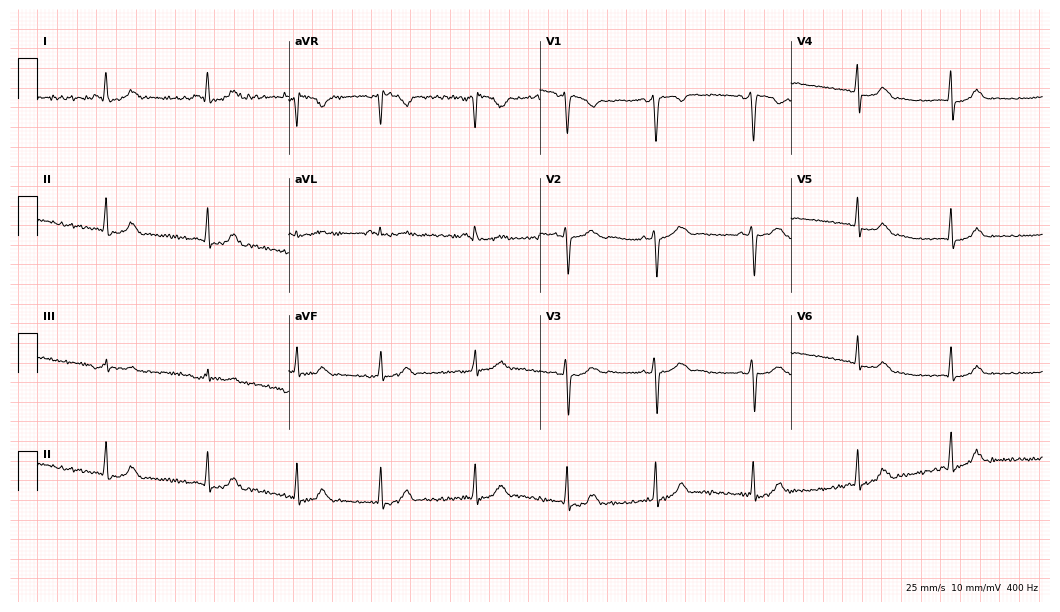
12-lead ECG from a female patient, 27 years old. Recorded interpretation: within normal limits.